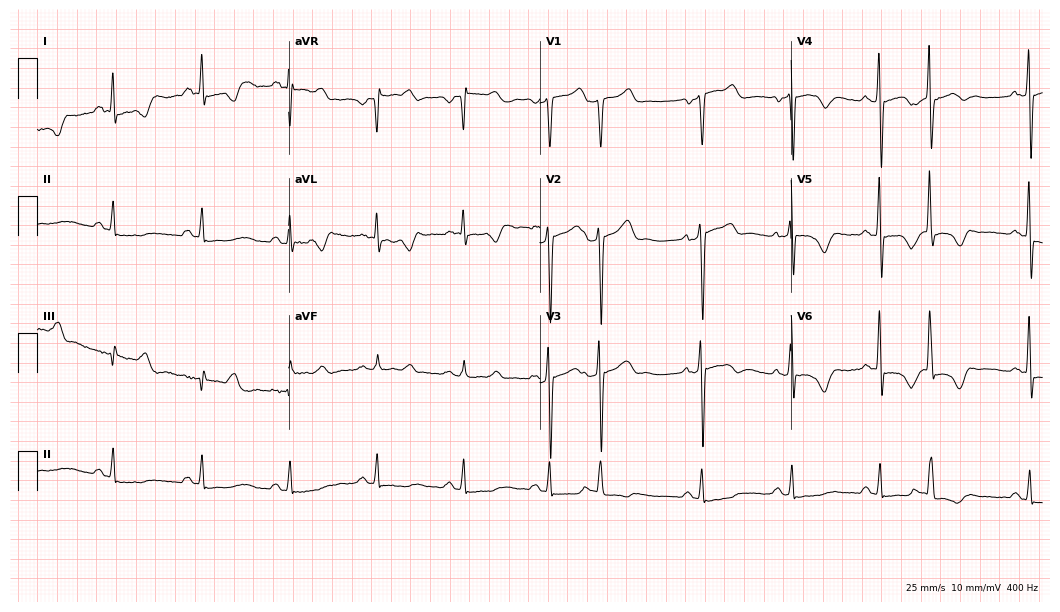
Standard 12-lead ECG recorded from a male, 56 years old. None of these six findings is recorded: first-degree AV block, right bundle branch block (RBBB), left bundle branch block (LBBB), sinus bradycardia, atrial fibrillation (AF), sinus tachycardia.